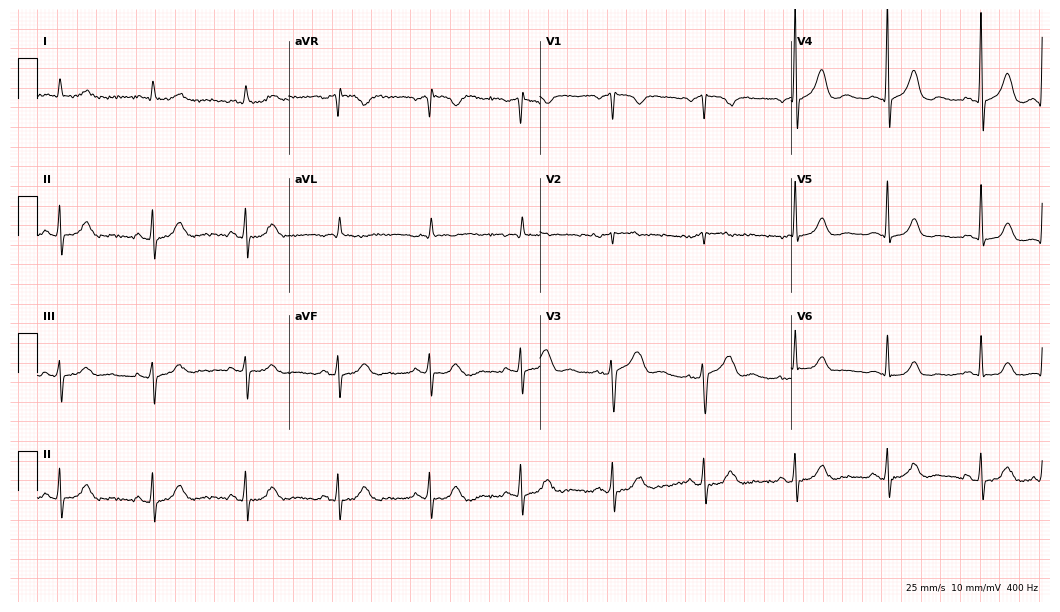
Electrocardiogram, a 79-year-old male. Of the six screened findings (first-degree AV block, right bundle branch block, left bundle branch block, sinus bradycardia, atrial fibrillation, sinus tachycardia), none is recorded. Only these six findings were labelled.